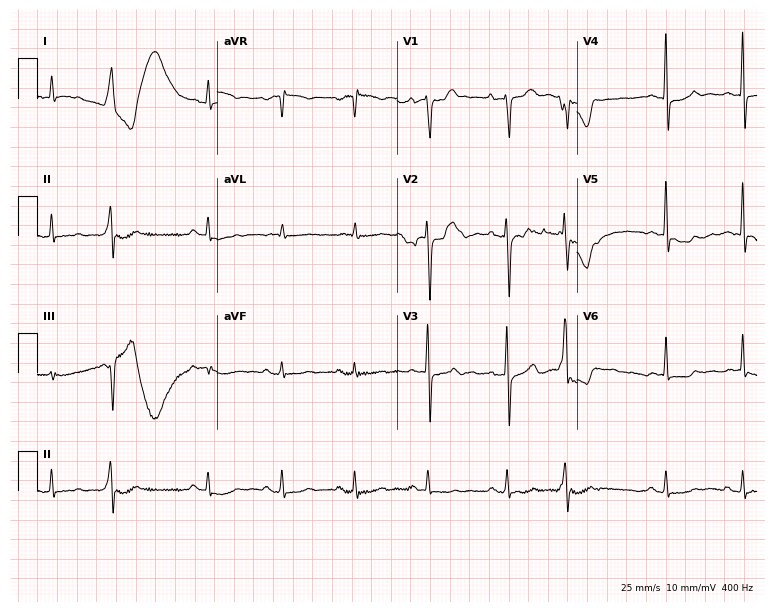
12-lead ECG from an 81-year-old male patient (7.3-second recording at 400 Hz). No first-degree AV block, right bundle branch block (RBBB), left bundle branch block (LBBB), sinus bradycardia, atrial fibrillation (AF) or sinus tachycardia recorded for this tracing. Findings outside these six are not listed.